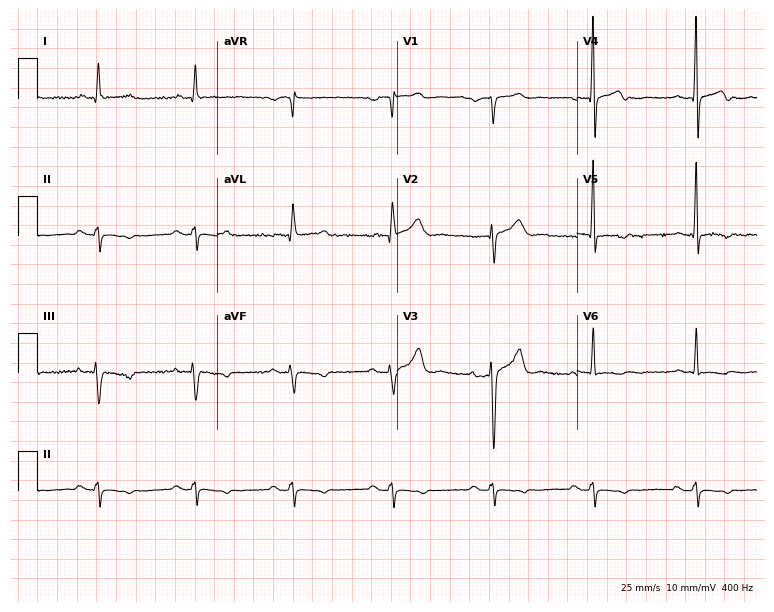
ECG (7.3-second recording at 400 Hz) — a 66-year-old man. Screened for six findings — first-degree AV block, right bundle branch block, left bundle branch block, sinus bradycardia, atrial fibrillation, sinus tachycardia — none is recorded. Other findings, if any, are not listed.